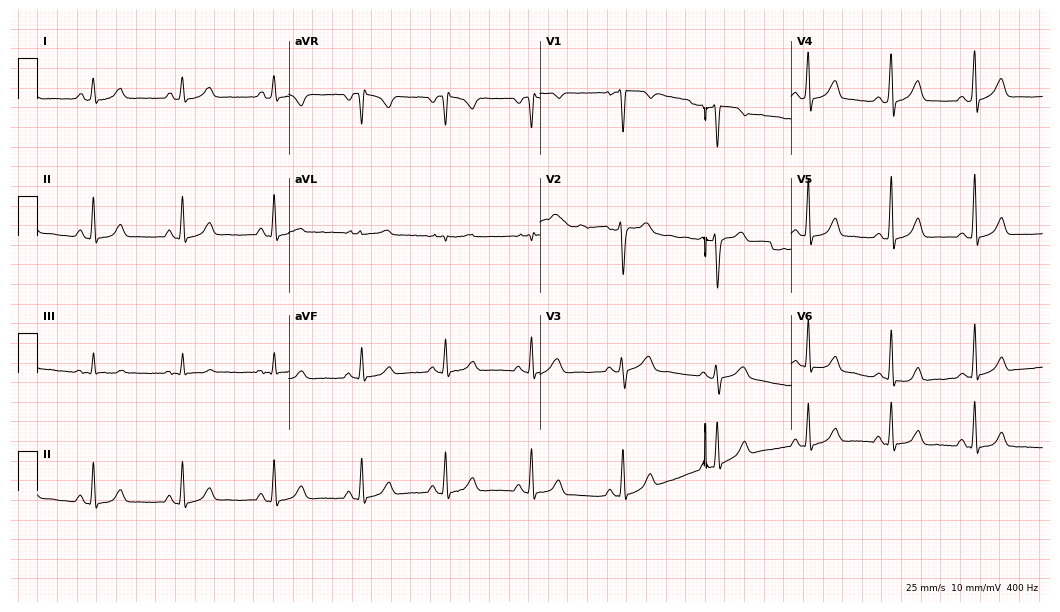
ECG (10.2-second recording at 400 Hz) — a 37-year-old female patient. Labelled as a normal ECG.